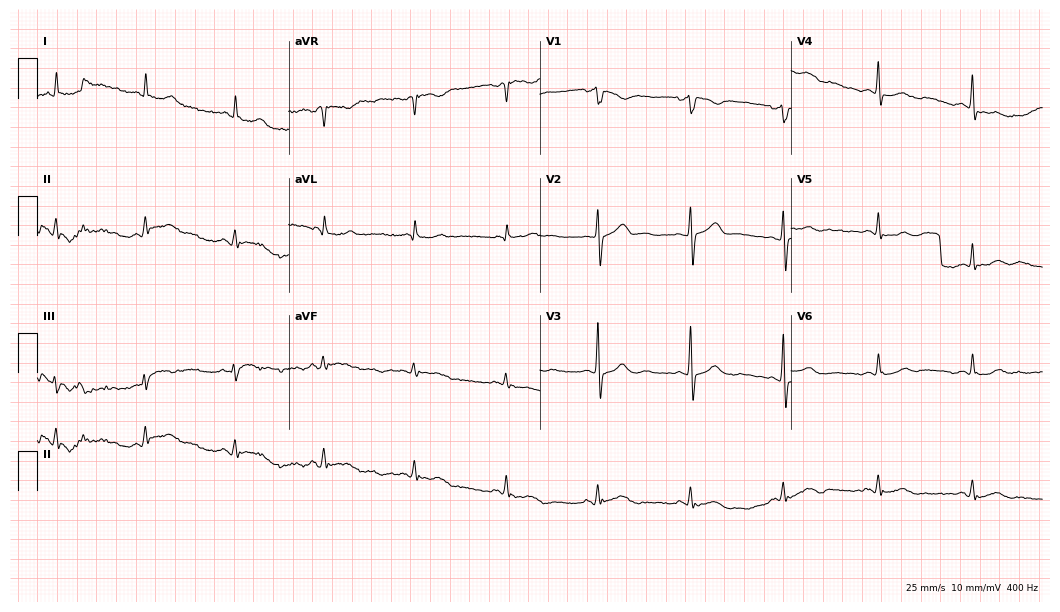
12-lead ECG from a male patient, 82 years old. Screened for six findings — first-degree AV block, right bundle branch block, left bundle branch block, sinus bradycardia, atrial fibrillation, sinus tachycardia — none is recorded. Findings outside these six are not listed.